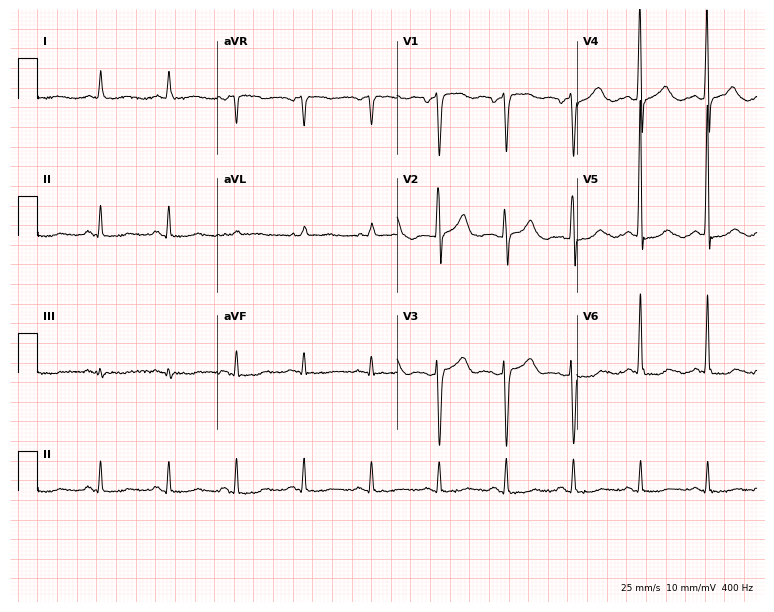
12-lead ECG (7.3-second recording at 400 Hz) from a 72-year-old male patient. Screened for six findings — first-degree AV block, right bundle branch block, left bundle branch block, sinus bradycardia, atrial fibrillation, sinus tachycardia — none is recorded.